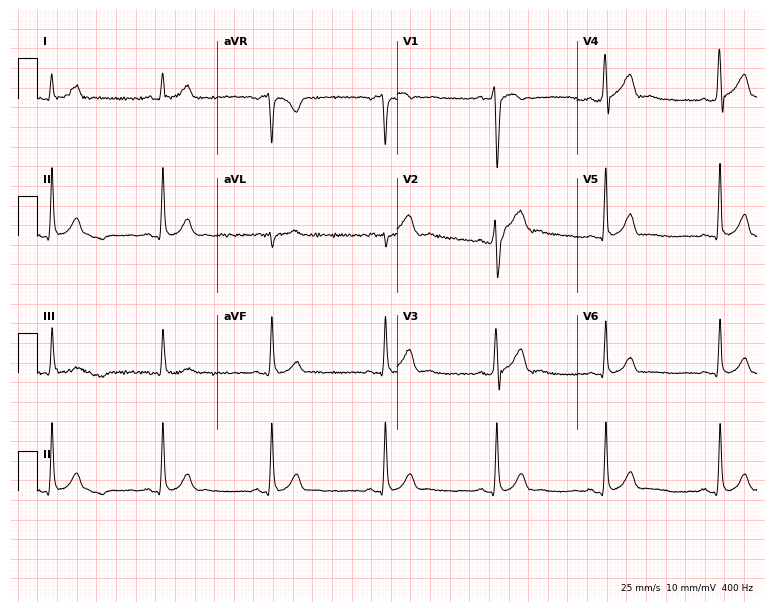
Electrocardiogram (7.3-second recording at 400 Hz), a 38-year-old male. Of the six screened findings (first-degree AV block, right bundle branch block, left bundle branch block, sinus bradycardia, atrial fibrillation, sinus tachycardia), none is recorded.